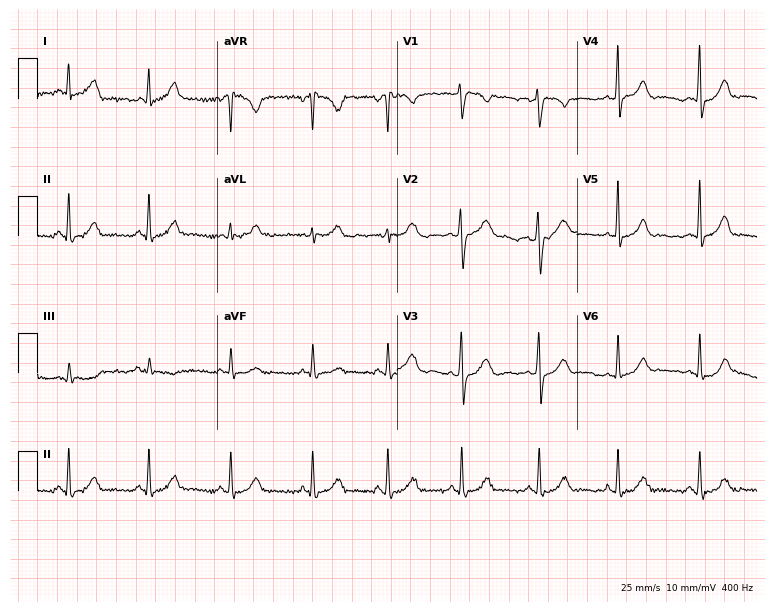
12-lead ECG from a woman, 24 years old (7.3-second recording at 400 Hz). Recorded interpretation: within normal limits.